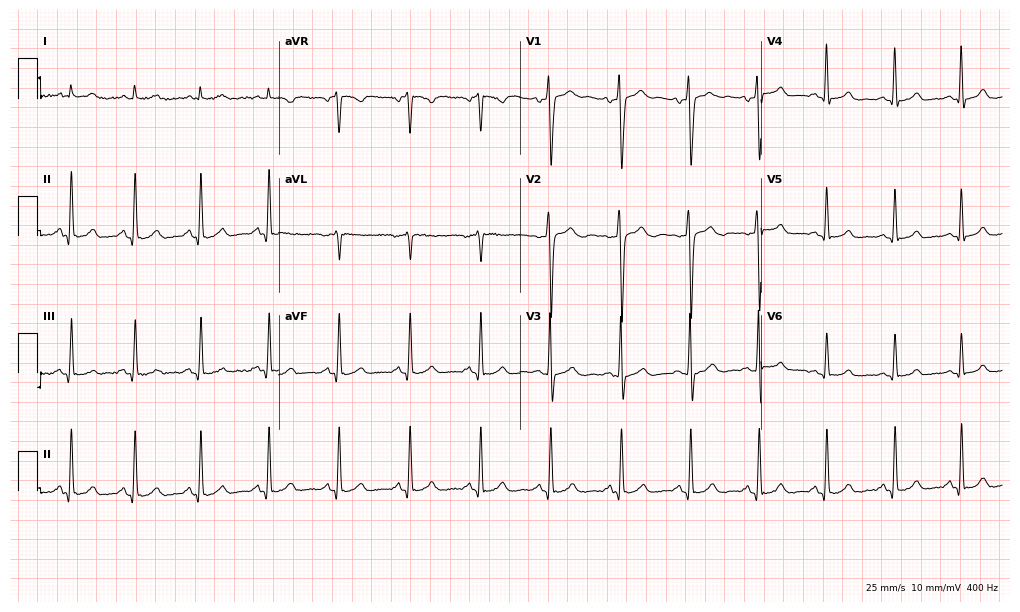
Electrocardiogram (9.8-second recording at 400 Hz), a man, 20 years old. Overall reading on record: normal ECG.